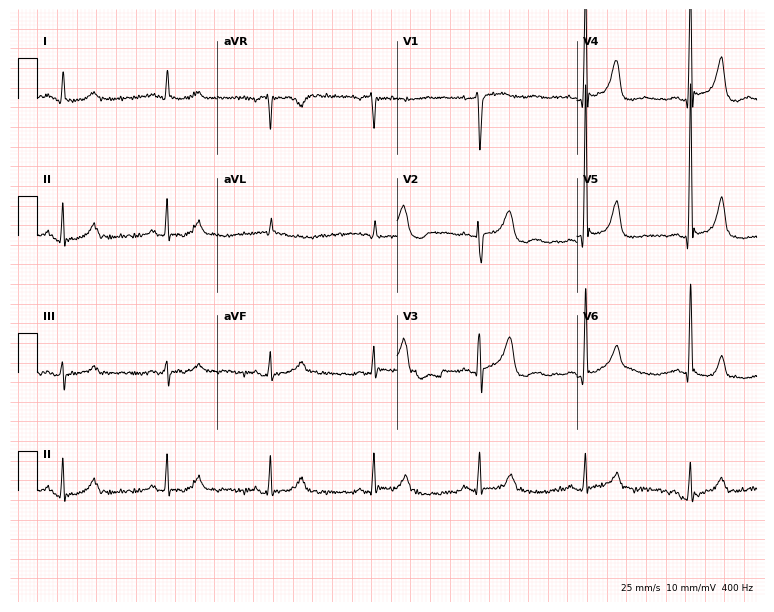
Standard 12-lead ECG recorded from a 74-year-old man (7.3-second recording at 400 Hz). Read as a normal ECG.